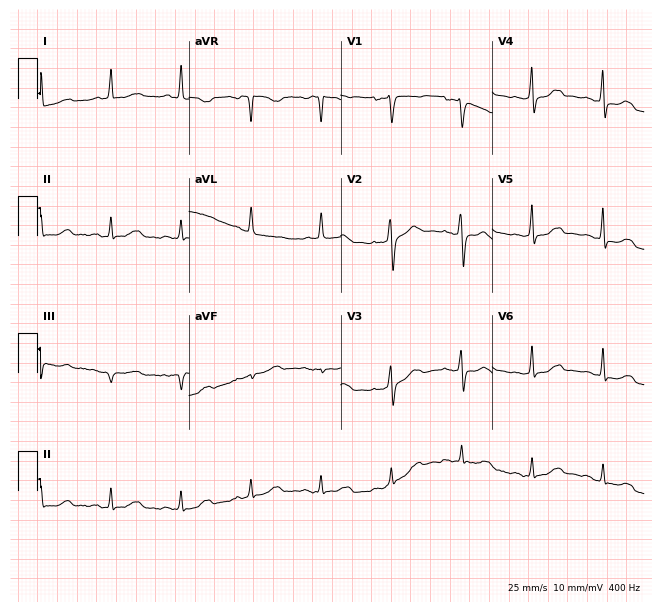
12-lead ECG from a 72-year-old female patient (6.2-second recording at 400 Hz). No first-degree AV block, right bundle branch block (RBBB), left bundle branch block (LBBB), sinus bradycardia, atrial fibrillation (AF) or sinus tachycardia recorded for this tracing. Only these six findings were labelled.